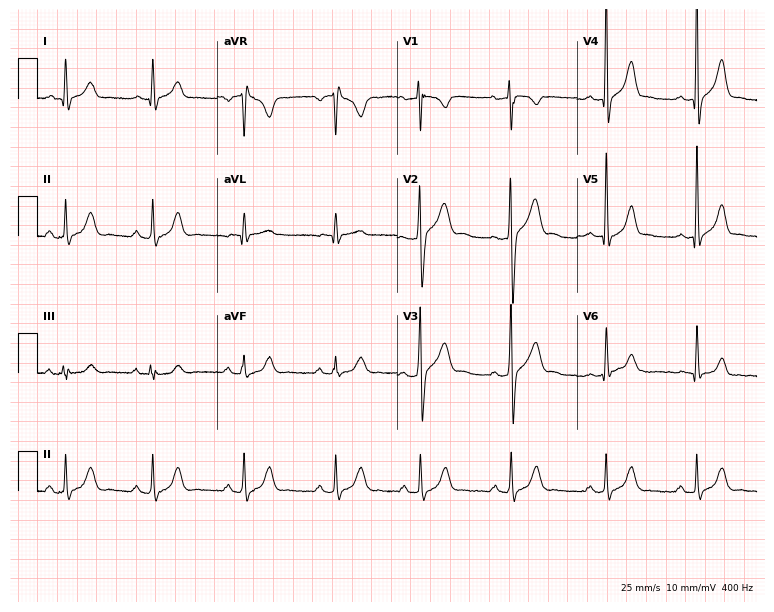
Standard 12-lead ECG recorded from a man, 76 years old (7.3-second recording at 400 Hz). None of these six findings is recorded: first-degree AV block, right bundle branch block, left bundle branch block, sinus bradycardia, atrial fibrillation, sinus tachycardia.